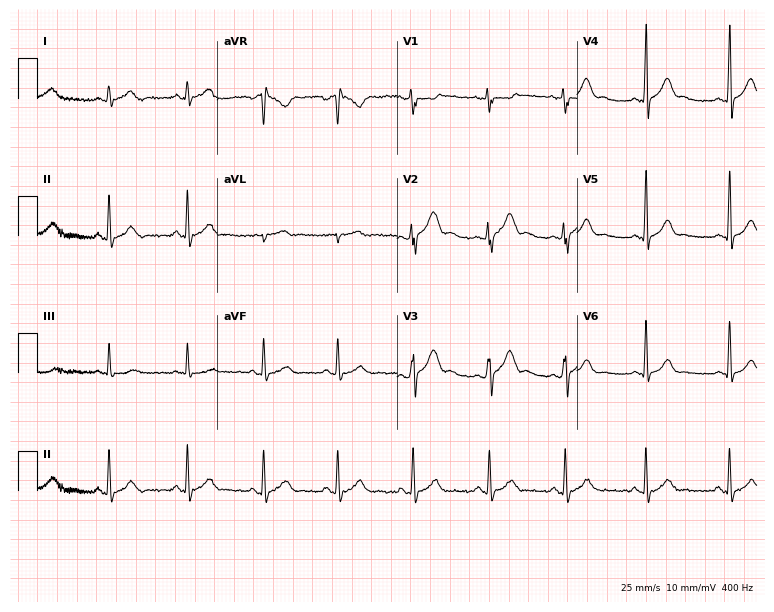
Electrocardiogram (7.3-second recording at 400 Hz), a 22-year-old female. Of the six screened findings (first-degree AV block, right bundle branch block, left bundle branch block, sinus bradycardia, atrial fibrillation, sinus tachycardia), none is recorded. Only these six findings were labelled.